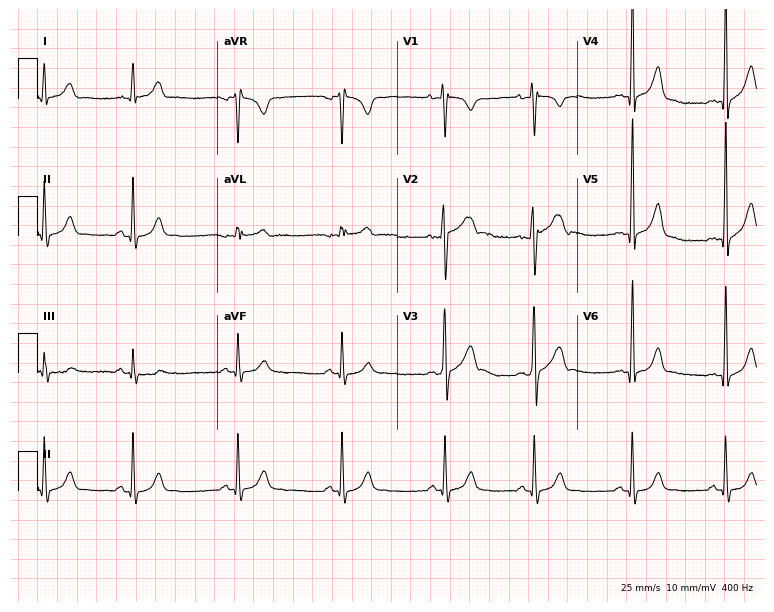
Standard 12-lead ECG recorded from a male, 22 years old (7.3-second recording at 400 Hz). Read as a normal ECG.